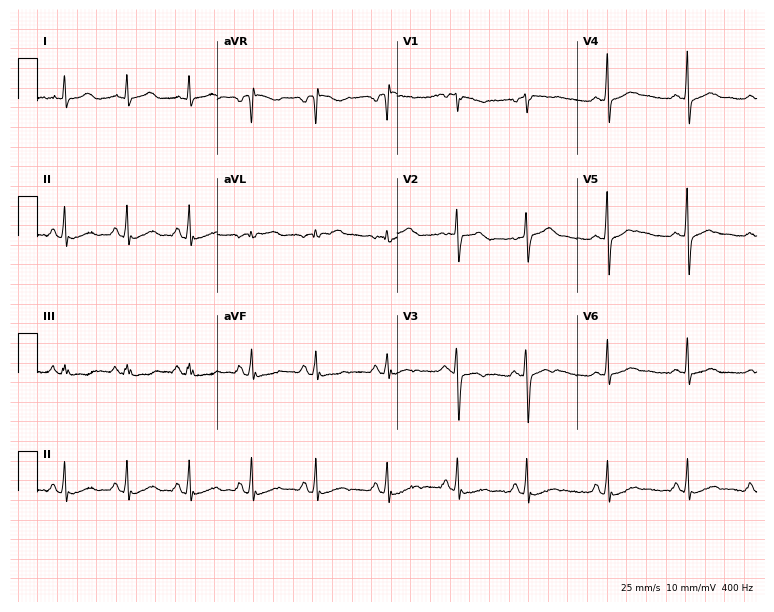
Resting 12-lead electrocardiogram (7.3-second recording at 400 Hz). Patient: a 20-year-old female. Read as a normal ECG.